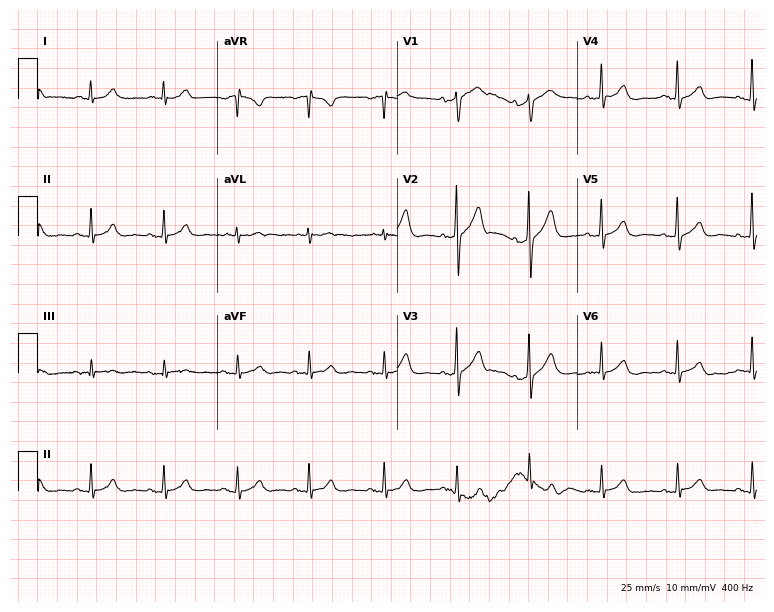
12-lead ECG from a man, 76 years old. Labelled as a normal ECG.